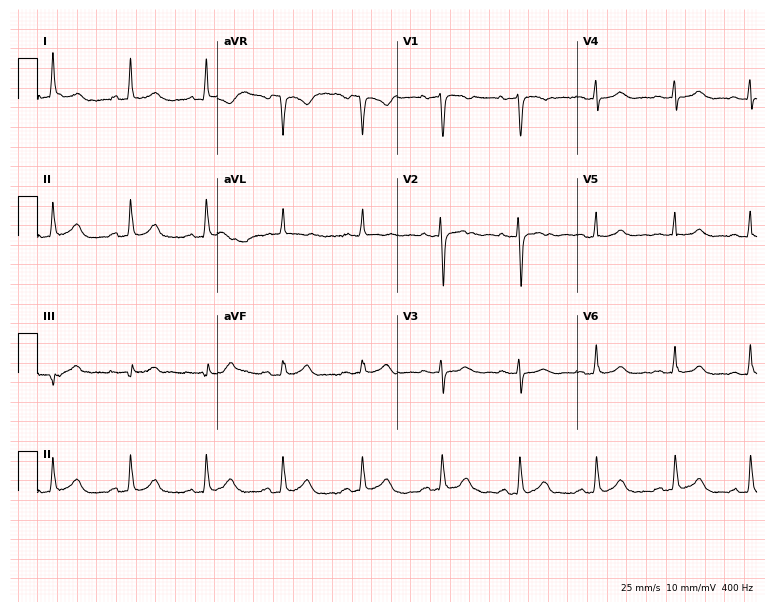
12-lead ECG from a female, 58 years old. Labelled as a normal ECG.